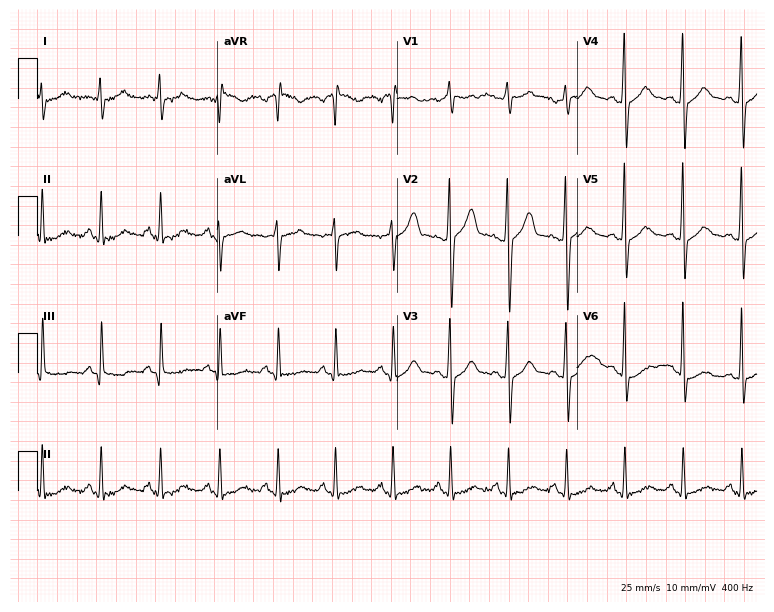
12-lead ECG from a man, 41 years old. Shows sinus tachycardia (a sinus rate of 100 beats per minute or more).